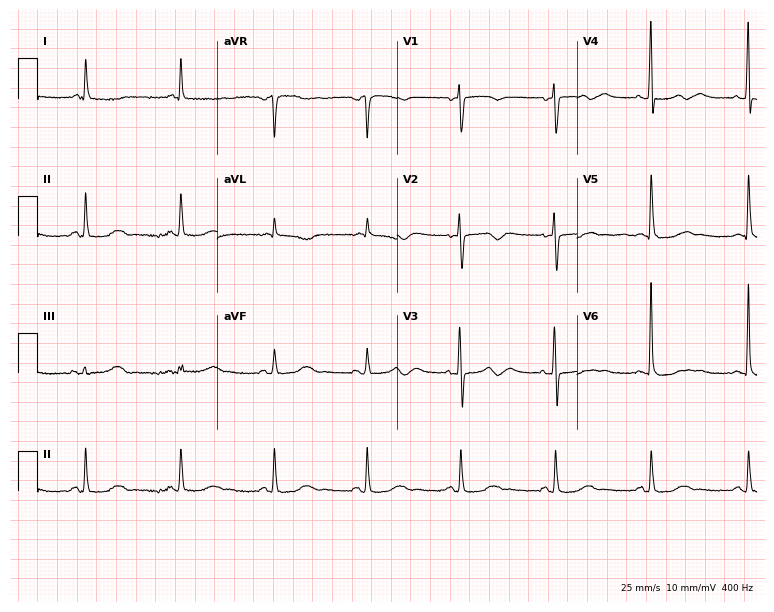
Standard 12-lead ECG recorded from a woman, 73 years old (7.3-second recording at 400 Hz). None of these six findings is recorded: first-degree AV block, right bundle branch block, left bundle branch block, sinus bradycardia, atrial fibrillation, sinus tachycardia.